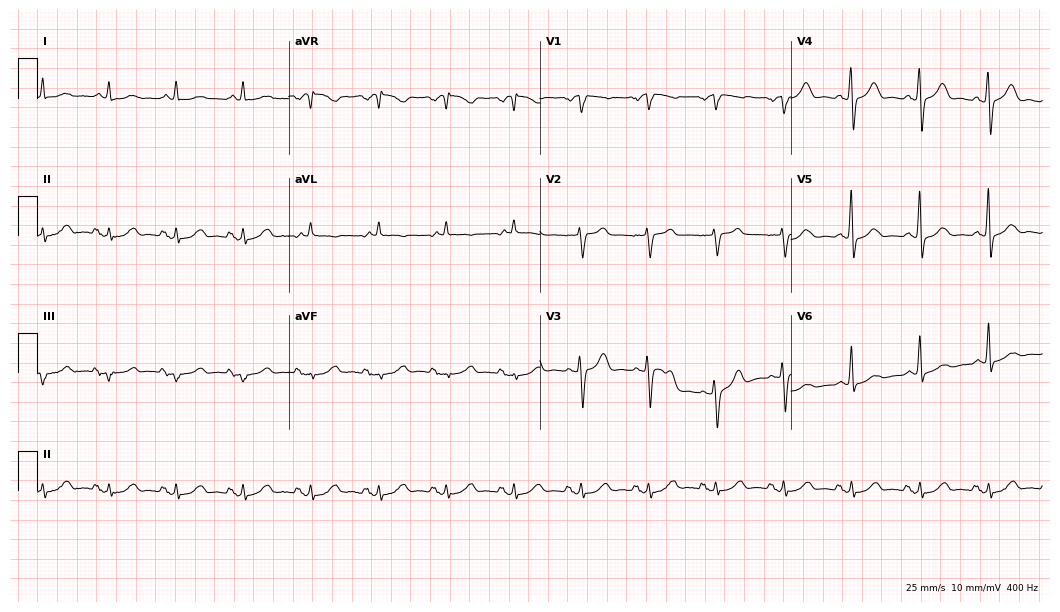
12-lead ECG (10.2-second recording at 400 Hz) from a male, 81 years old. Labelled as a normal ECG.